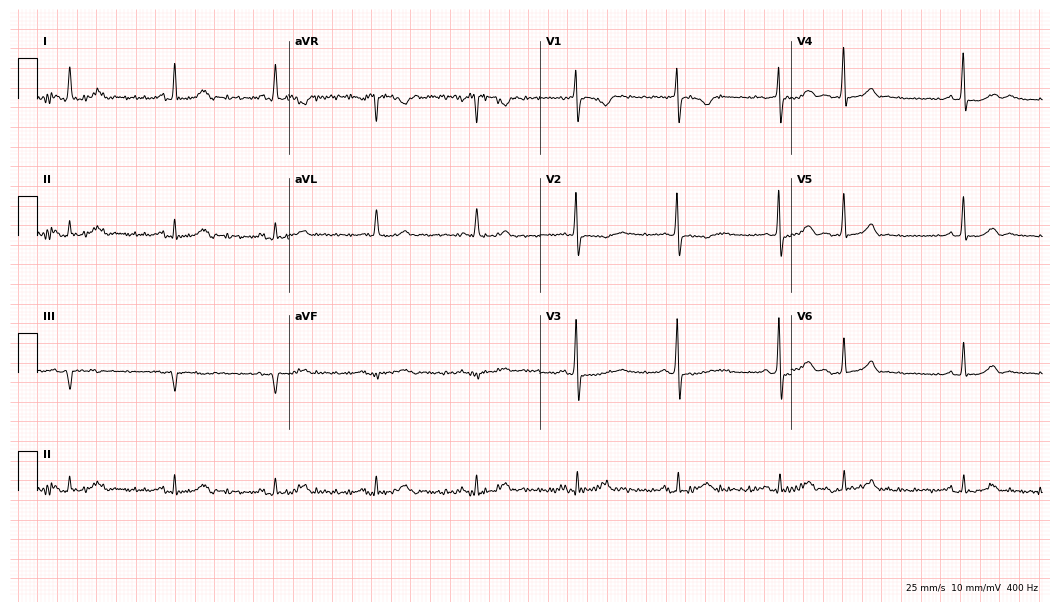
Resting 12-lead electrocardiogram. Patient: a 77-year-old male. None of these six findings is recorded: first-degree AV block, right bundle branch block, left bundle branch block, sinus bradycardia, atrial fibrillation, sinus tachycardia. Other findings, if any, are not listed.